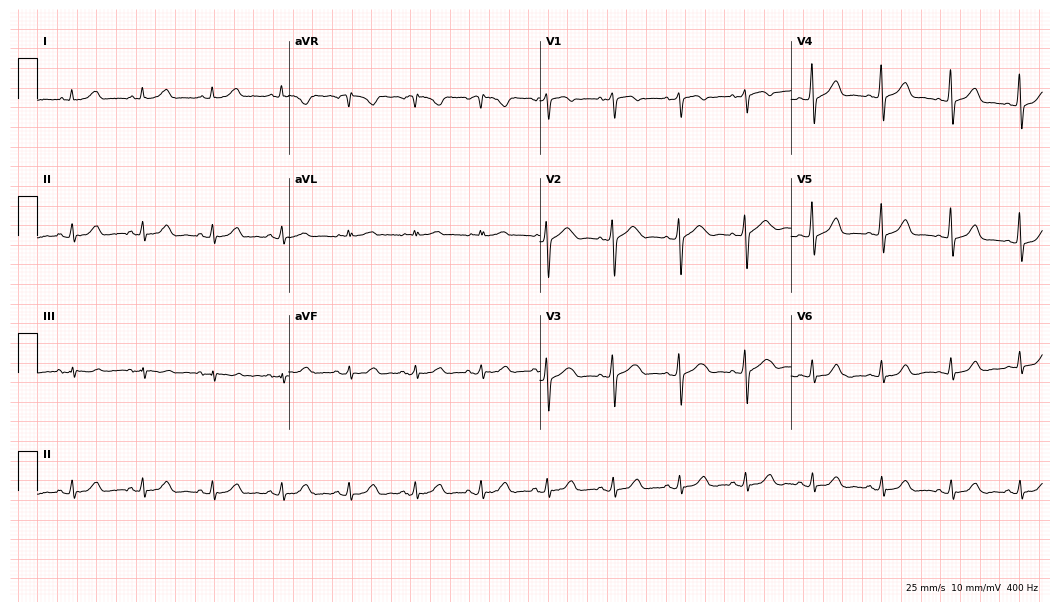
Resting 12-lead electrocardiogram. Patient: a woman, 36 years old. Read as a normal ECG.